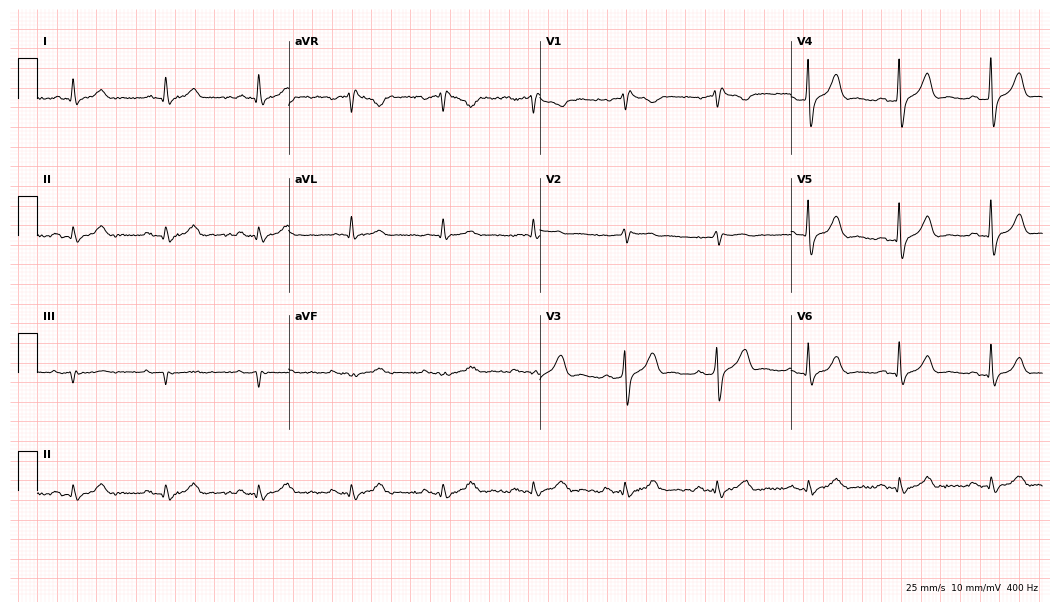
12-lead ECG from a 66-year-old male (10.2-second recording at 400 Hz). Shows right bundle branch block.